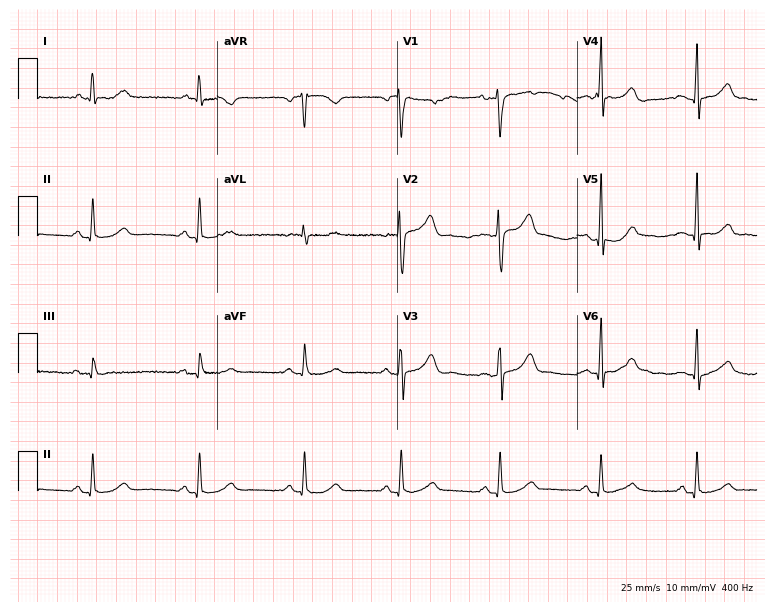
Standard 12-lead ECG recorded from a male, 51 years old (7.3-second recording at 400 Hz). None of these six findings is recorded: first-degree AV block, right bundle branch block, left bundle branch block, sinus bradycardia, atrial fibrillation, sinus tachycardia. Only these six findings were labelled.